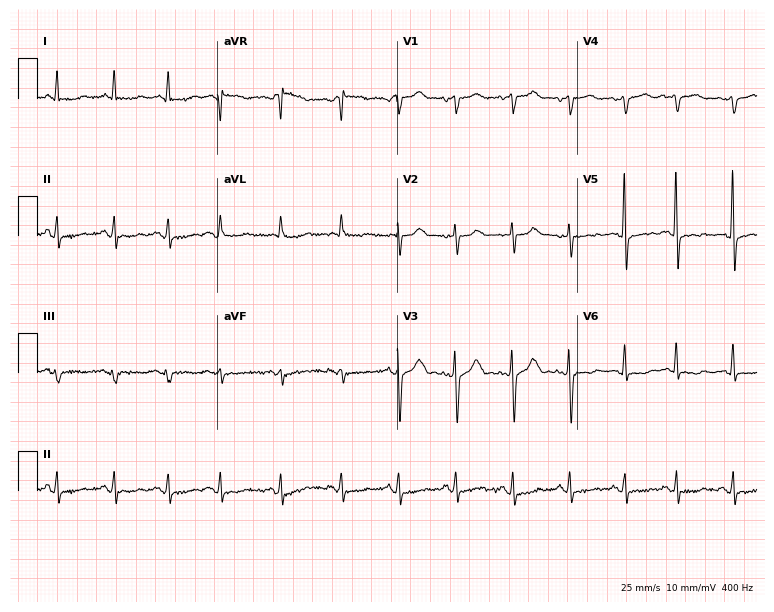
Standard 12-lead ECG recorded from a 71-year-old female patient. The tracing shows sinus tachycardia (a sinus rate of 100 beats per minute or more).